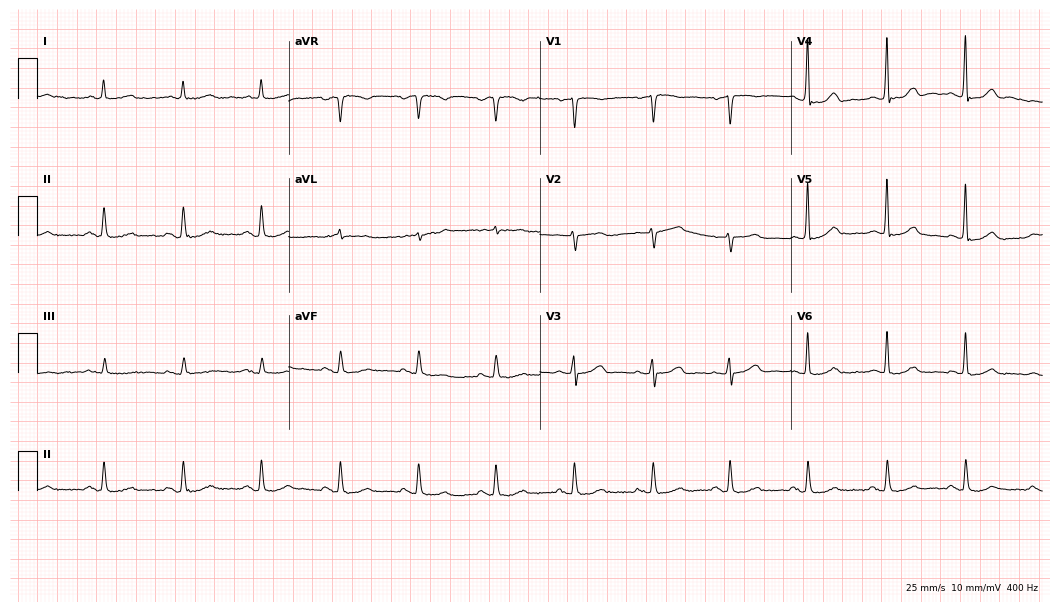
12-lead ECG from an 81-year-old male patient. Labelled as a normal ECG.